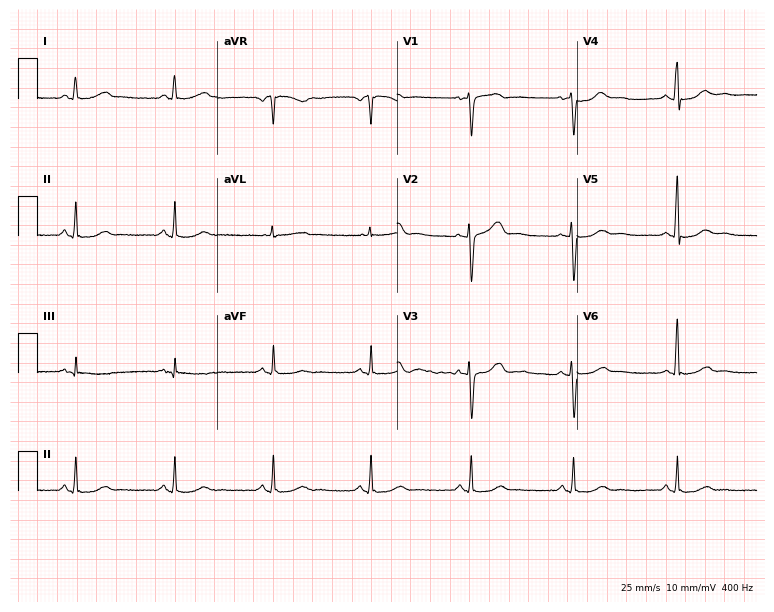
ECG — a woman, 58 years old. Labelled as a normal ECG.